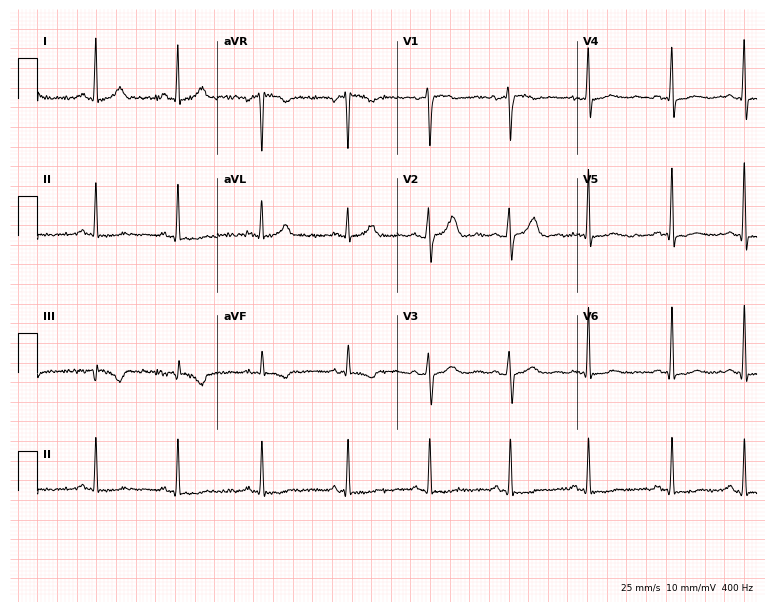
12-lead ECG from a 32-year-old woman (7.3-second recording at 400 Hz). No first-degree AV block, right bundle branch block, left bundle branch block, sinus bradycardia, atrial fibrillation or sinus tachycardia recorded for this tracing. Findings outside these six are not listed.